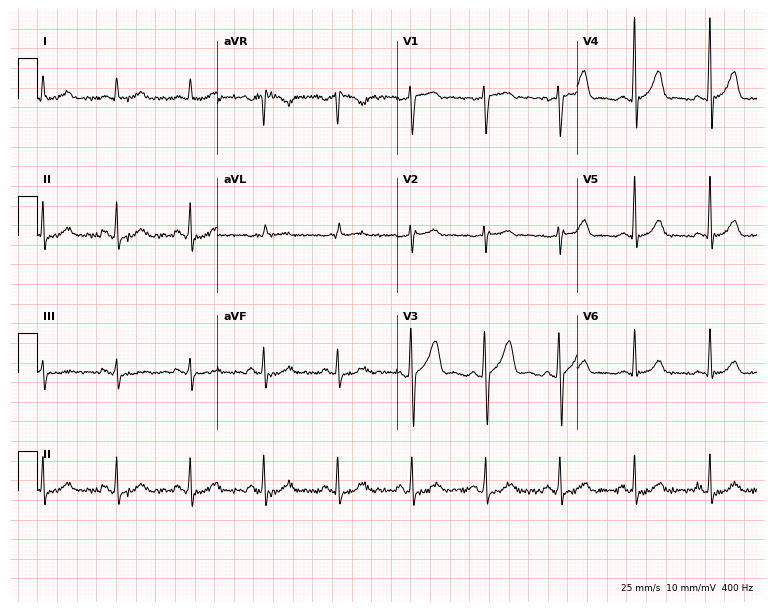
12-lead ECG from a man, 63 years old. Recorded interpretation: within normal limits.